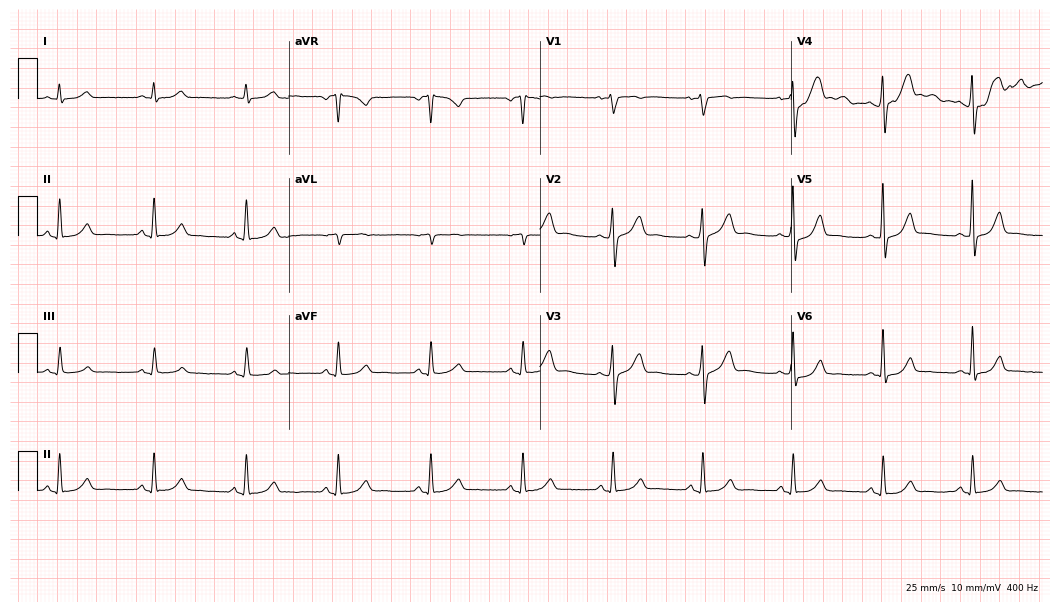
Resting 12-lead electrocardiogram. Patient: a male, 47 years old. Read as a normal ECG.